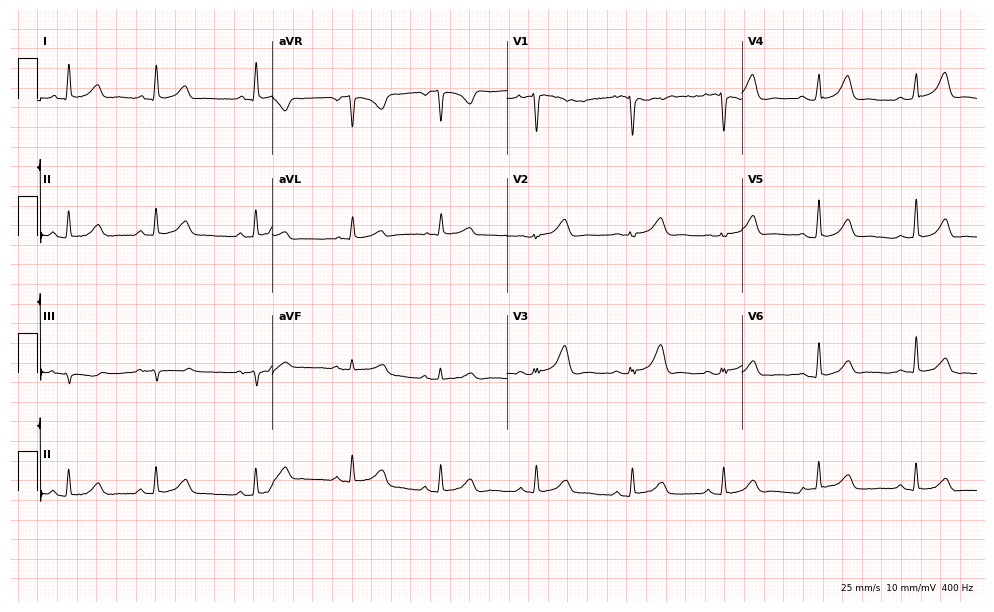
12-lead ECG from a female patient, 57 years old. No first-degree AV block, right bundle branch block (RBBB), left bundle branch block (LBBB), sinus bradycardia, atrial fibrillation (AF) or sinus tachycardia recorded for this tracing. Only these six findings were labelled.